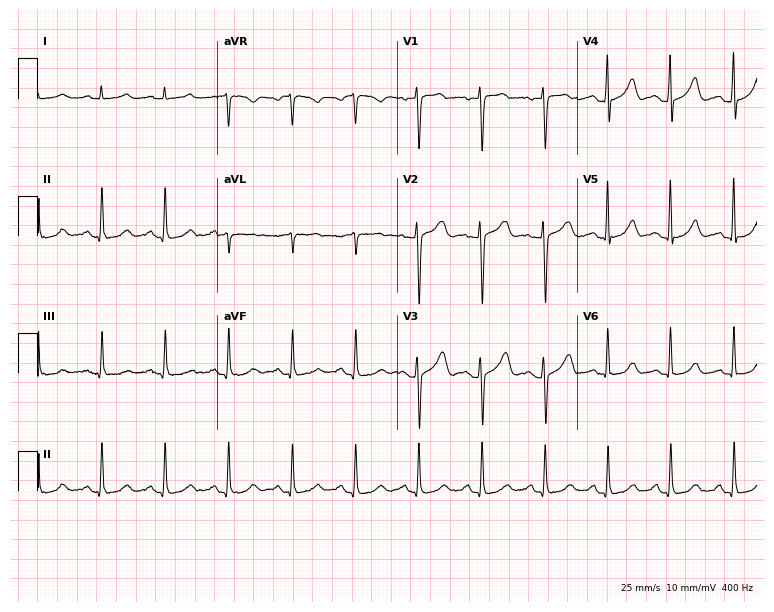
12-lead ECG from a woman, 56 years old. Screened for six findings — first-degree AV block, right bundle branch block, left bundle branch block, sinus bradycardia, atrial fibrillation, sinus tachycardia — none is recorded. Only these six findings were labelled.